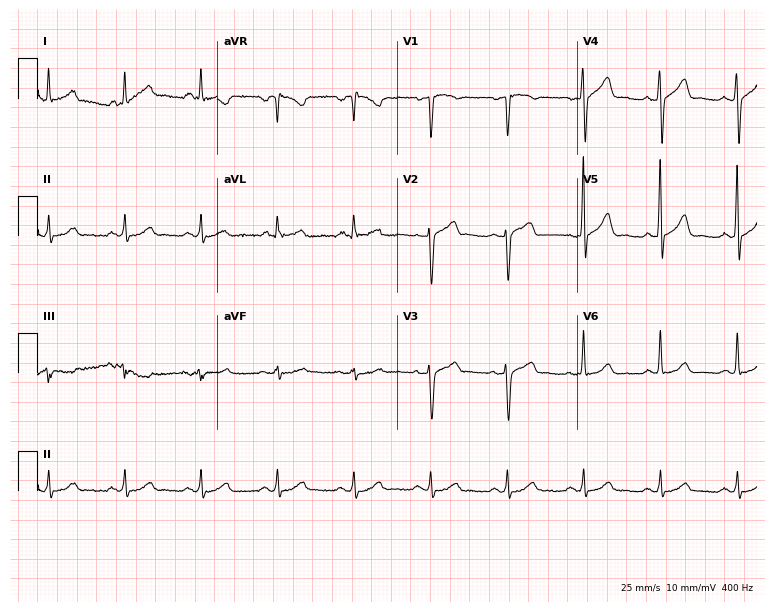
Standard 12-lead ECG recorded from a male, 55 years old (7.3-second recording at 400 Hz). Read as a normal ECG.